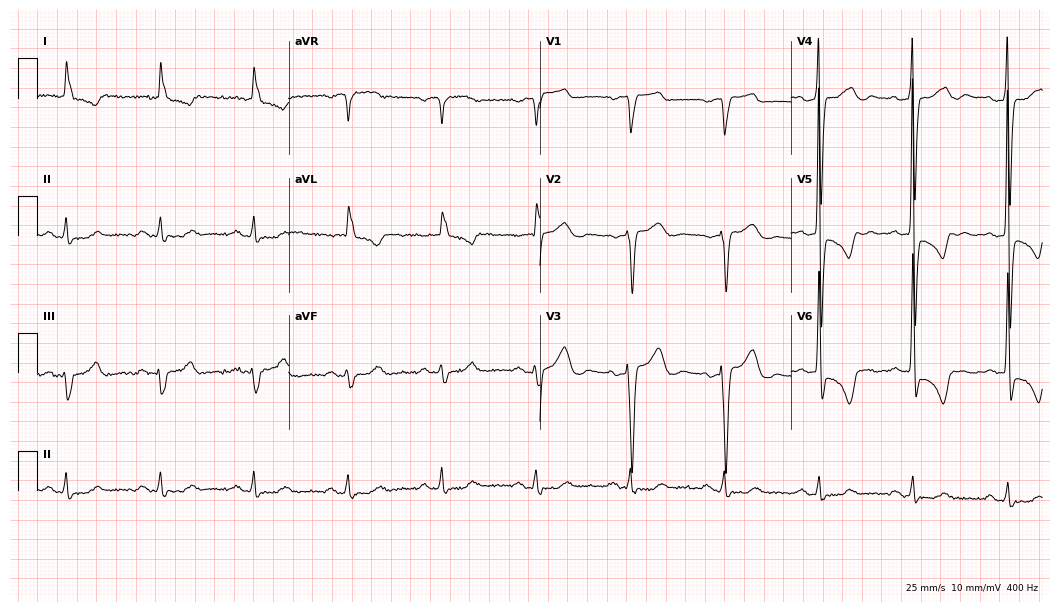
ECG — an 83-year-old male. Screened for six findings — first-degree AV block, right bundle branch block (RBBB), left bundle branch block (LBBB), sinus bradycardia, atrial fibrillation (AF), sinus tachycardia — none is recorded.